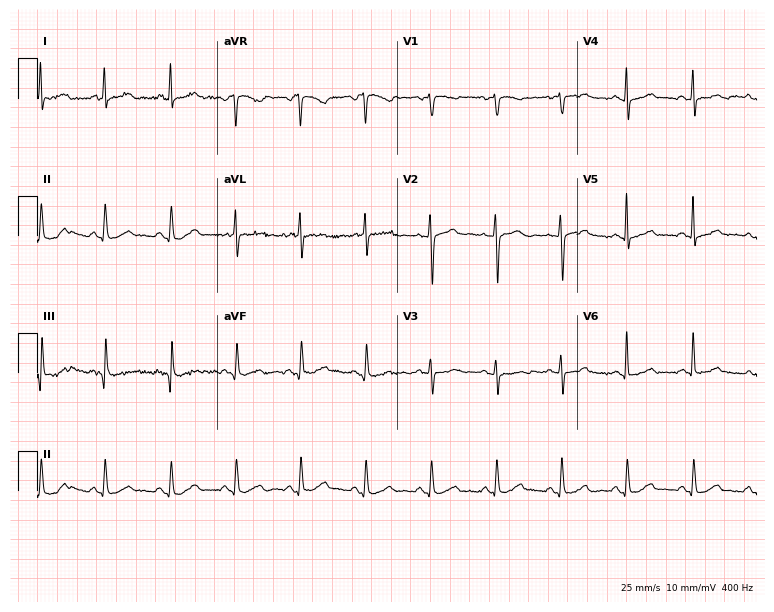
Electrocardiogram, a female patient, 57 years old. Overall reading on record: normal ECG.